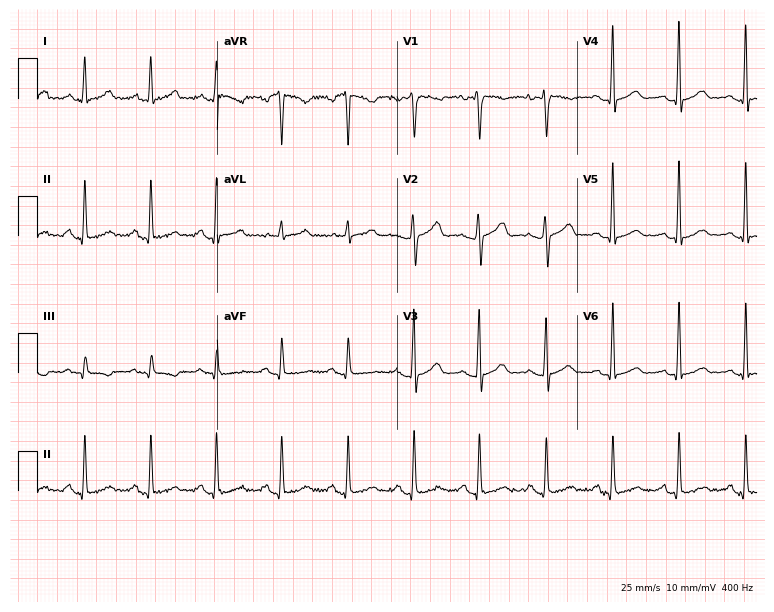
12-lead ECG (7.3-second recording at 400 Hz) from a female, 49 years old. Labelled as a normal ECG.